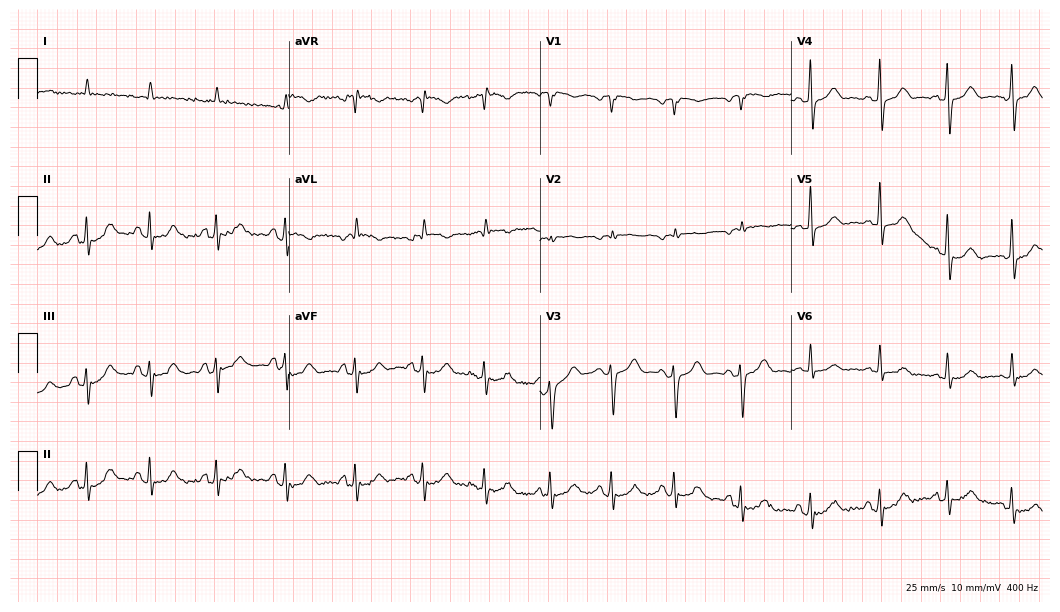
12-lead ECG (10.2-second recording at 400 Hz) from a 69-year-old male patient. Screened for six findings — first-degree AV block, right bundle branch block (RBBB), left bundle branch block (LBBB), sinus bradycardia, atrial fibrillation (AF), sinus tachycardia — none is recorded. Findings outside these six are not listed.